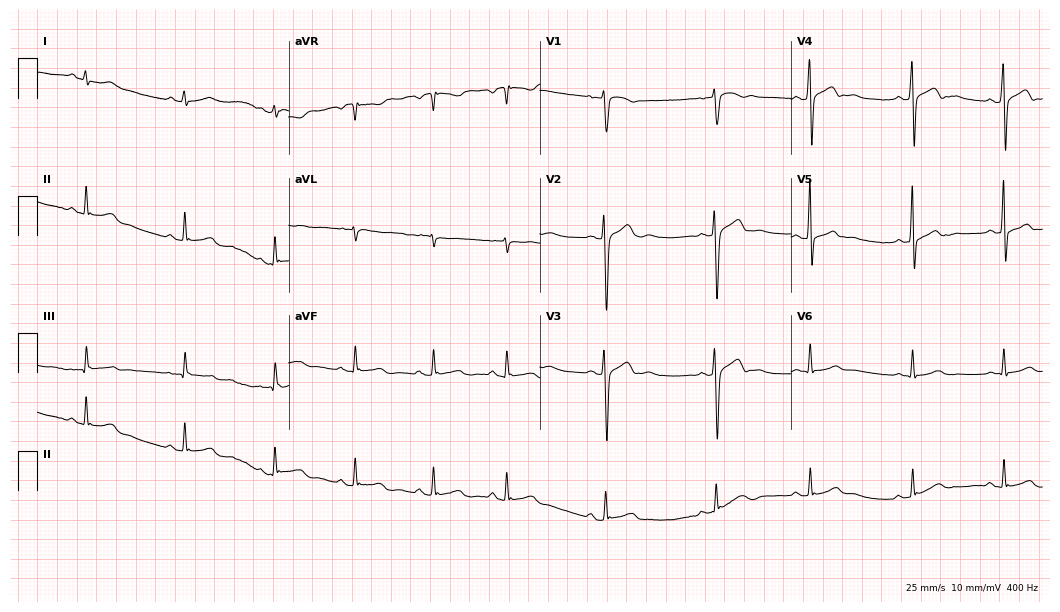
Standard 12-lead ECG recorded from a male patient, 18 years old. Read as a normal ECG.